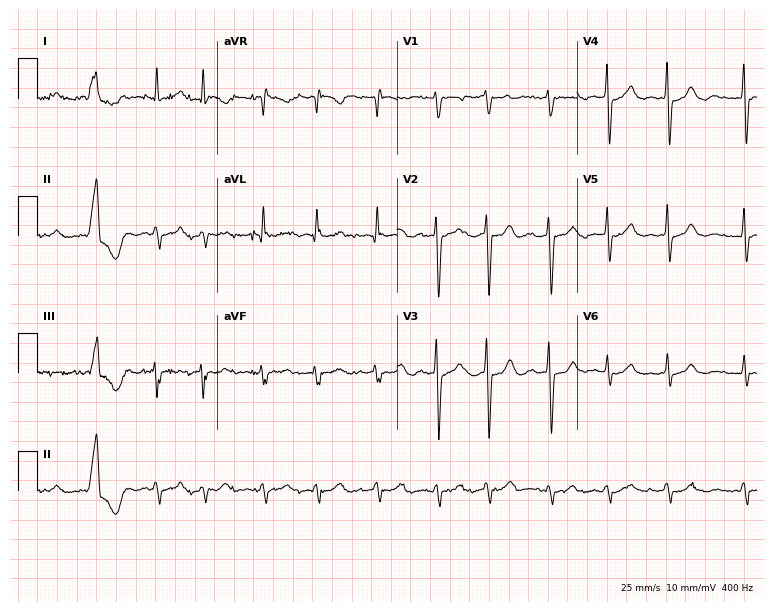
Electrocardiogram, a 78-year-old male. Interpretation includes atrial fibrillation (AF).